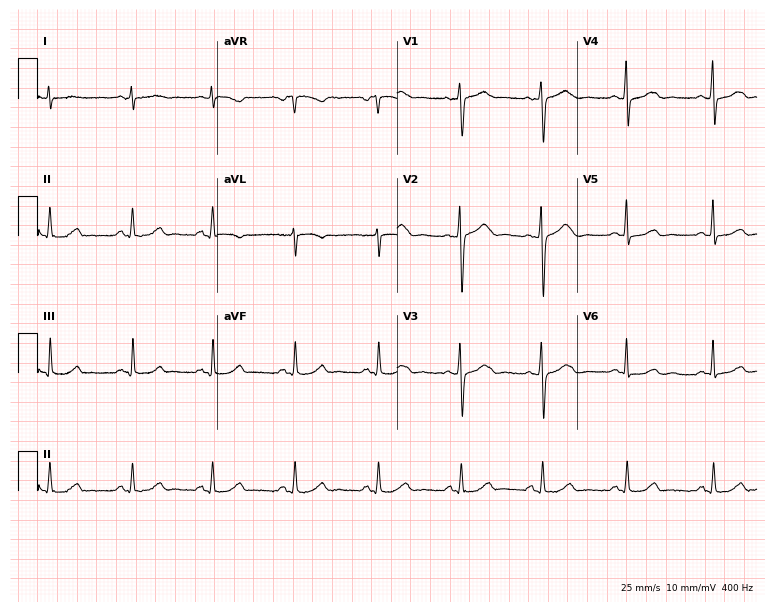
Resting 12-lead electrocardiogram. Patient: a 48-year-old female. Read as a normal ECG.